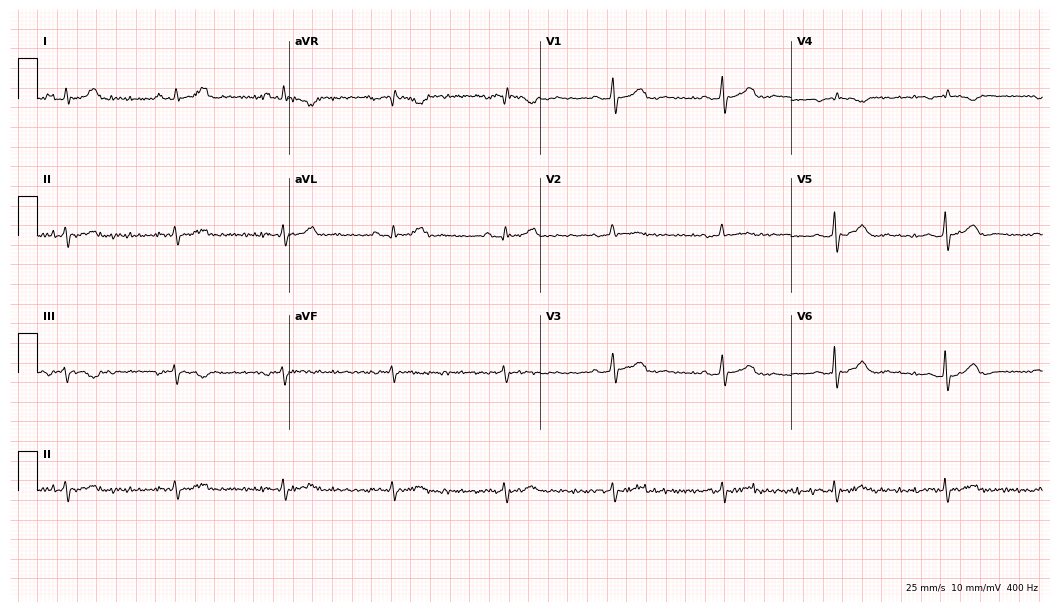
Electrocardiogram (10.2-second recording at 400 Hz), an 84-year-old man. Overall reading on record: normal ECG.